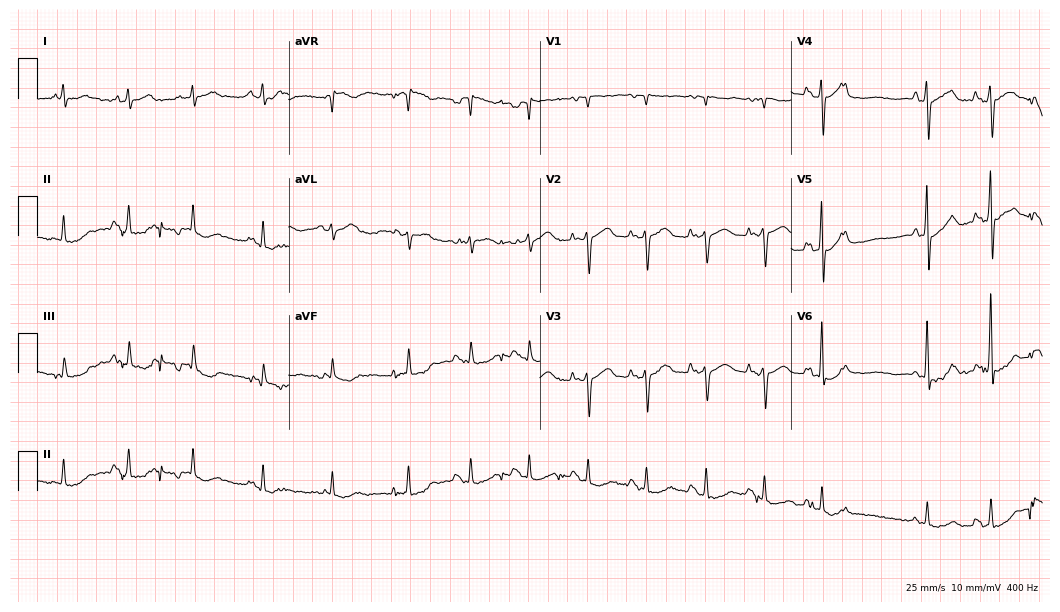
12-lead ECG from a male, 82 years old (10.2-second recording at 400 Hz). No first-degree AV block, right bundle branch block, left bundle branch block, sinus bradycardia, atrial fibrillation or sinus tachycardia recorded for this tracing. Other findings, if any, are not listed.